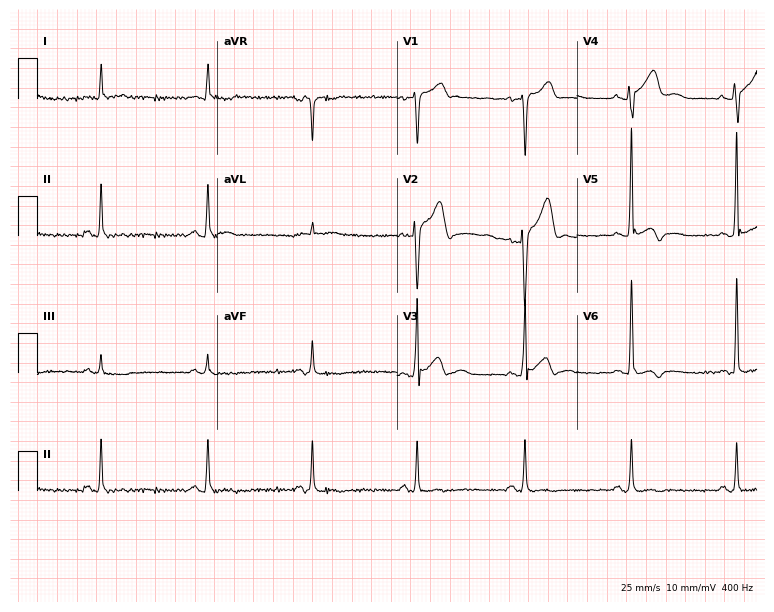
12-lead ECG (7.3-second recording at 400 Hz) from a man, 84 years old. Screened for six findings — first-degree AV block, right bundle branch block, left bundle branch block, sinus bradycardia, atrial fibrillation, sinus tachycardia — none is recorded.